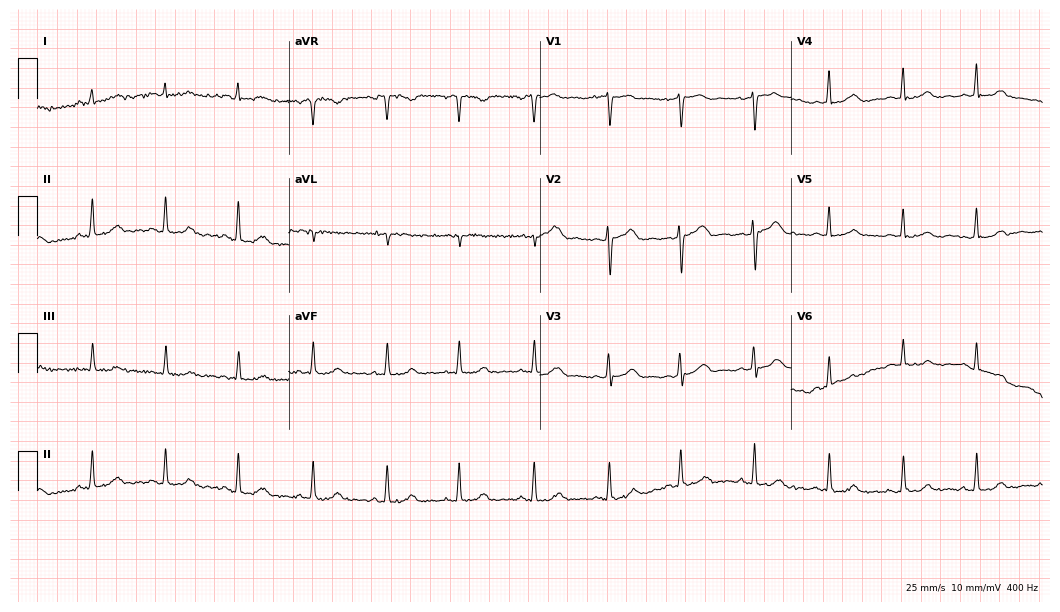
Standard 12-lead ECG recorded from a female patient, 35 years old (10.2-second recording at 400 Hz). Read as a normal ECG.